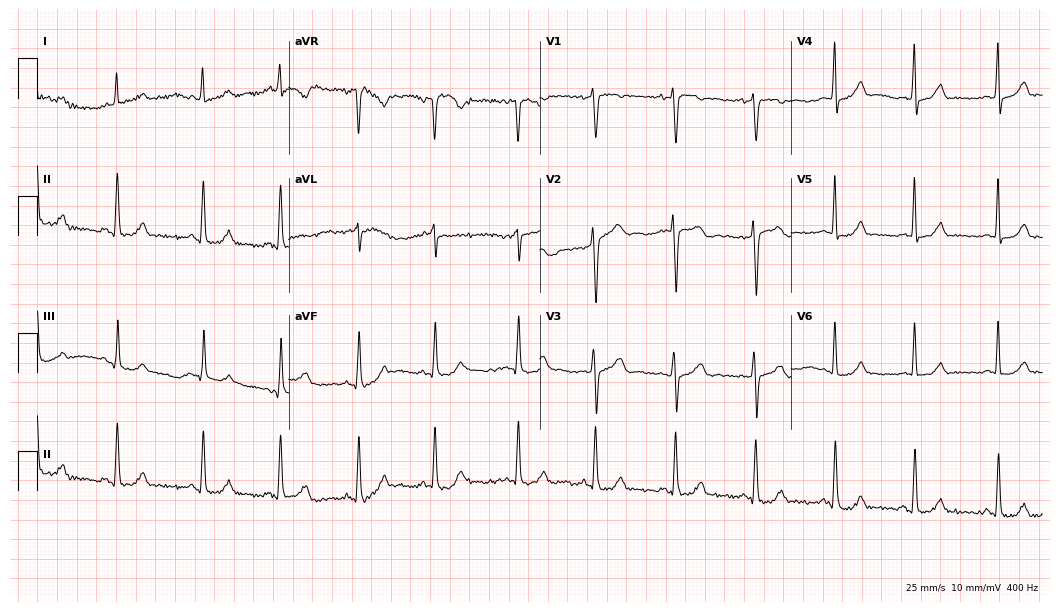
Resting 12-lead electrocardiogram (10.2-second recording at 400 Hz). Patient: a 26-year-old woman. None of these six findings is recorded: first-degree AV block, right bundle branch block, left bundle branch block, sinus bradycardia, atrial fibrillation, sinus tachycardia. Other findings, if any, are not listed.